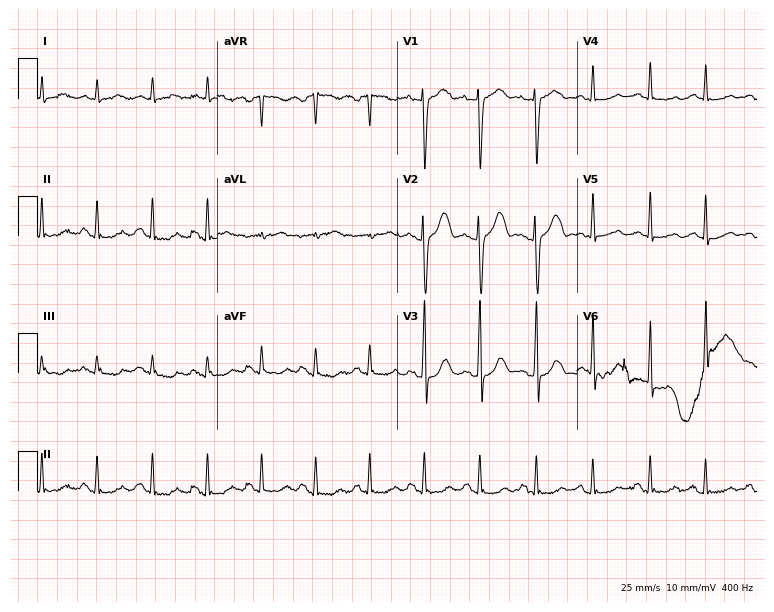
12-lead ECG from a 47-year-old female. Screened for six findings — first-degree AV block, right bundle branch block (RBBB), left bundle branch block (LBBB), sinus bradycardia, atrial fibrillation (AF), sinus tachycardia — none is recorded.